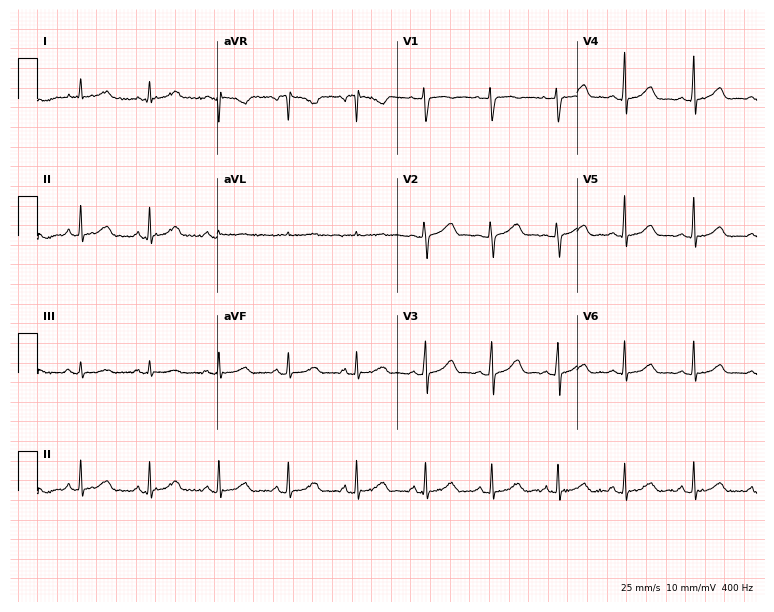
Electrocardiogram, a 45-year-old female. Of the six screened findings (first-degree AV block, right bundle branch block (RBBB), left bundle branch block (LBBB), sinus bradycardia, atrial fibrillation (AF), sinus tachycardia), none is recorded.